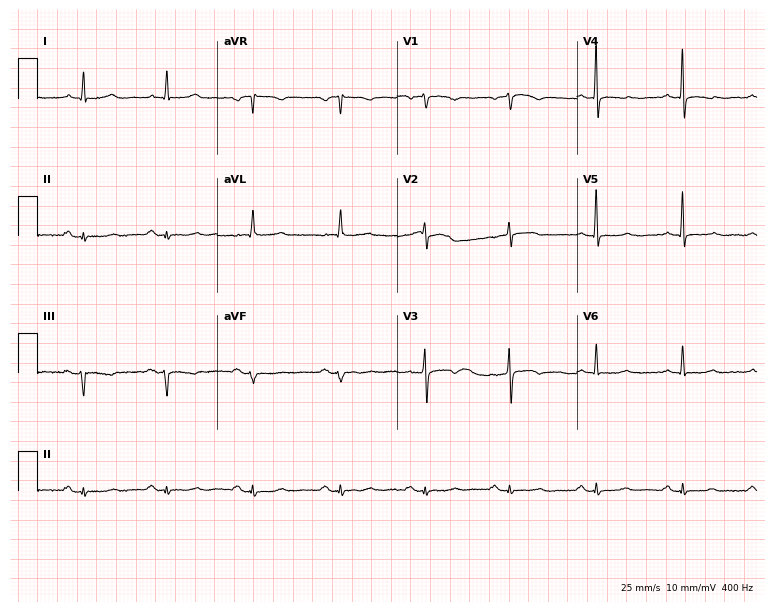
12-lead ECG from a woman, 59 years old (7.3-second recording at 400 Hz). No first-degree AV block, right bundle branch block, left bundle branch block, sinus bradycardia, atrial fibrillation or sinus tachycardia recorded for this tracing. Other findings, if any, are not listed.